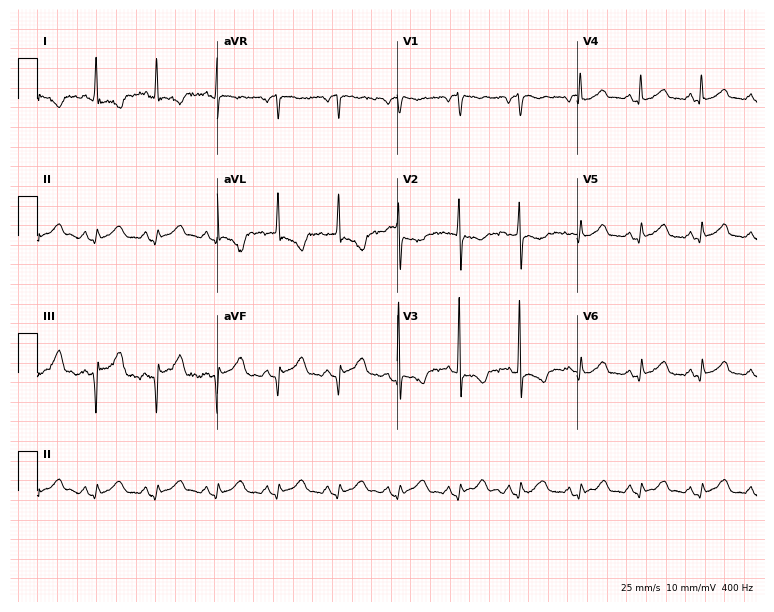
Standard 12-lead ECG recorded from a female, 82 years old (7.3-second recording at 400 Hz). Read as a normal ECG.